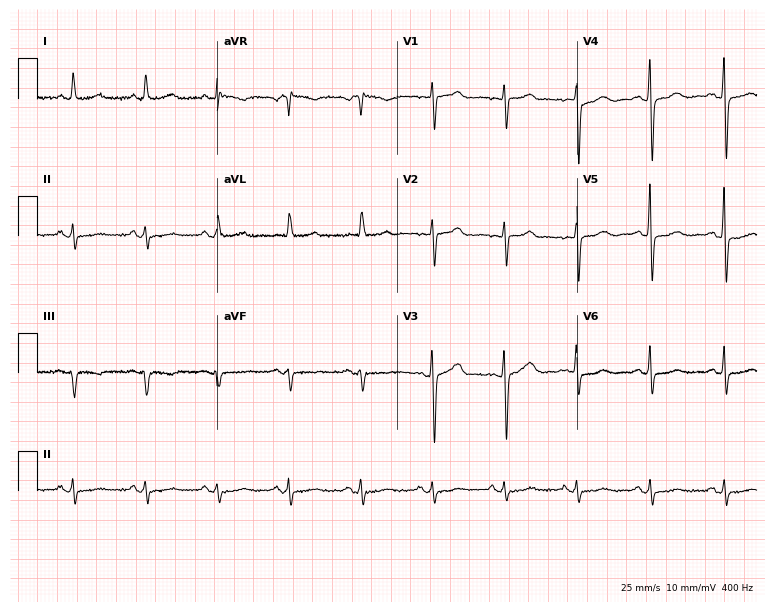
12-lead ECG (7.3-second recording at 400 Hz) from a female, 68 years old. Screened for six findings — first-degree AV block, right bundle branch block, left bundle branch block, sinus bradycardia, atrial fibrillation, sinus tachycardia — none is recorded.